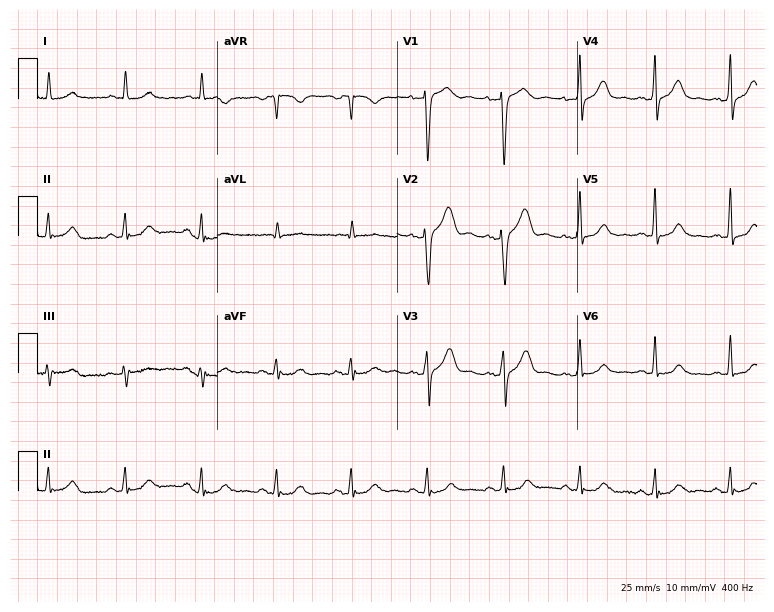
ECG (7.3-second recording at 400 Hz) — a male, 57 years old. Labelled as a normal ECG.